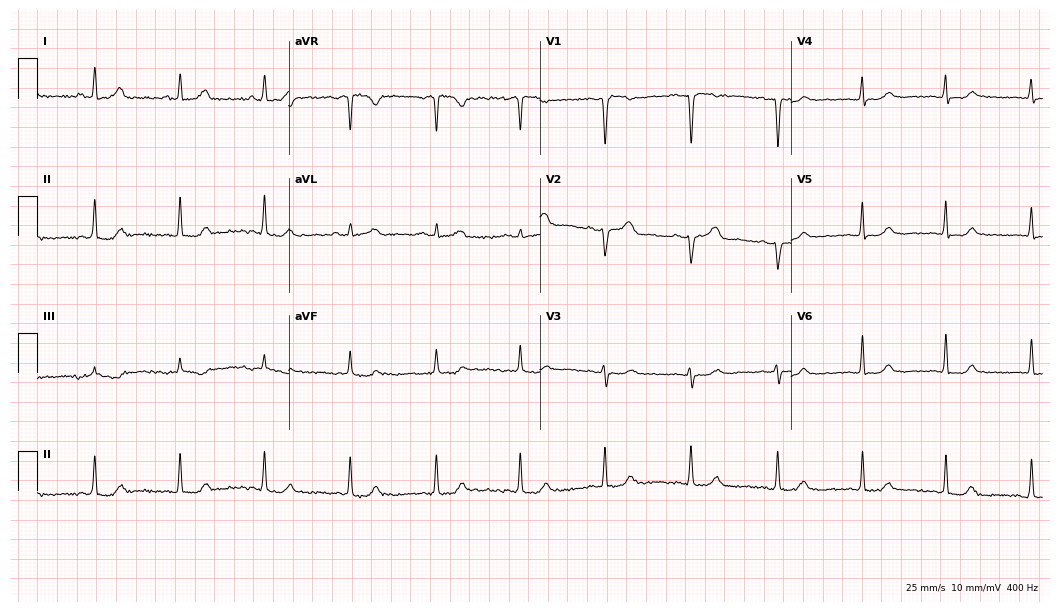
Resting 12-lead electrocardiogram. Patient: a female, 45 years old. Read as a normal ECG.